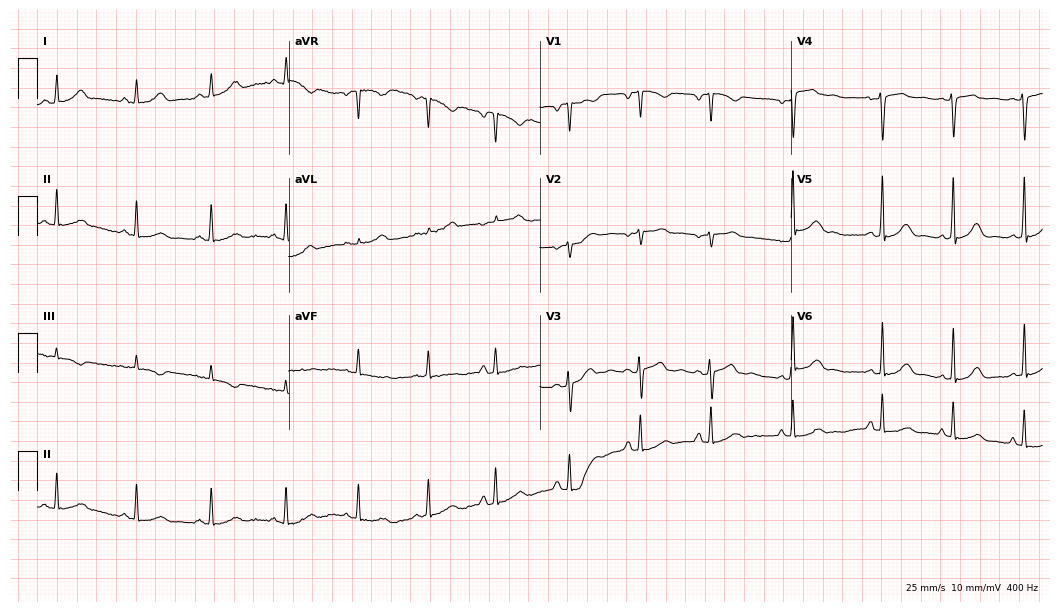
12-lead ECG from a female patient, 17 years old. Recorded interpretation: within normal limits.